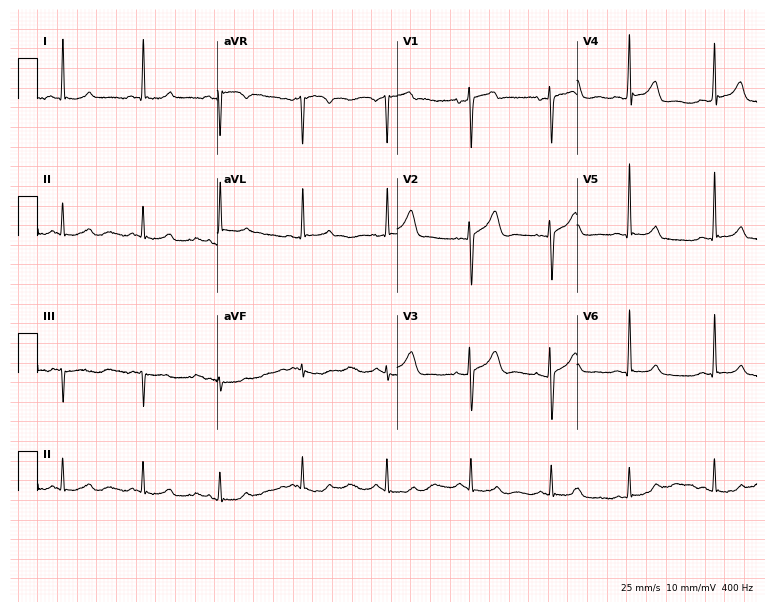
12-lead ECG from a woman, 45 years old. Recorded interpretation: within normal limits.